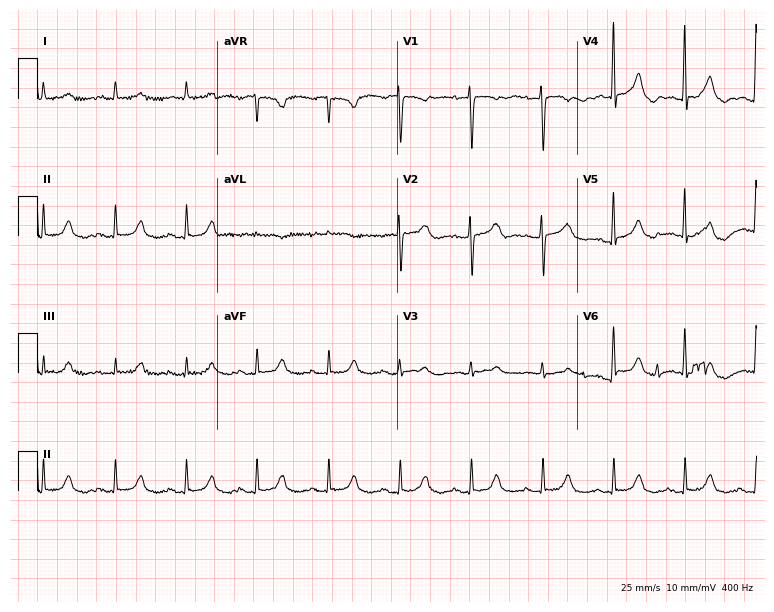
12-lead ECG from an 83-year-old female. Recorded interpretation: within normal limits.